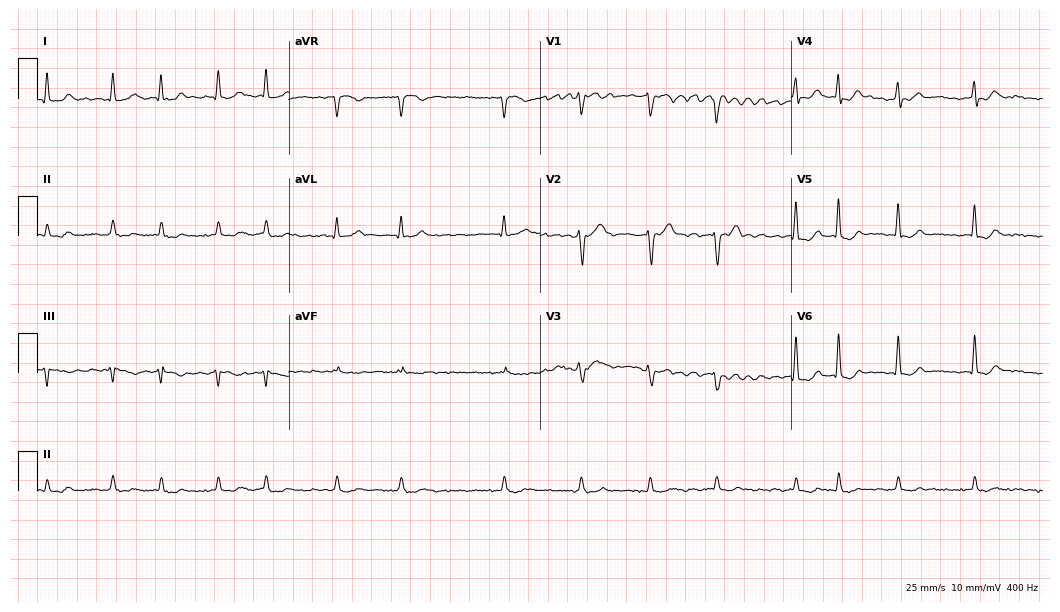
12-lead ECG from a male patient, 78 years old (10.2-second recording at 400 Hz). Shows atrial fibrillation.